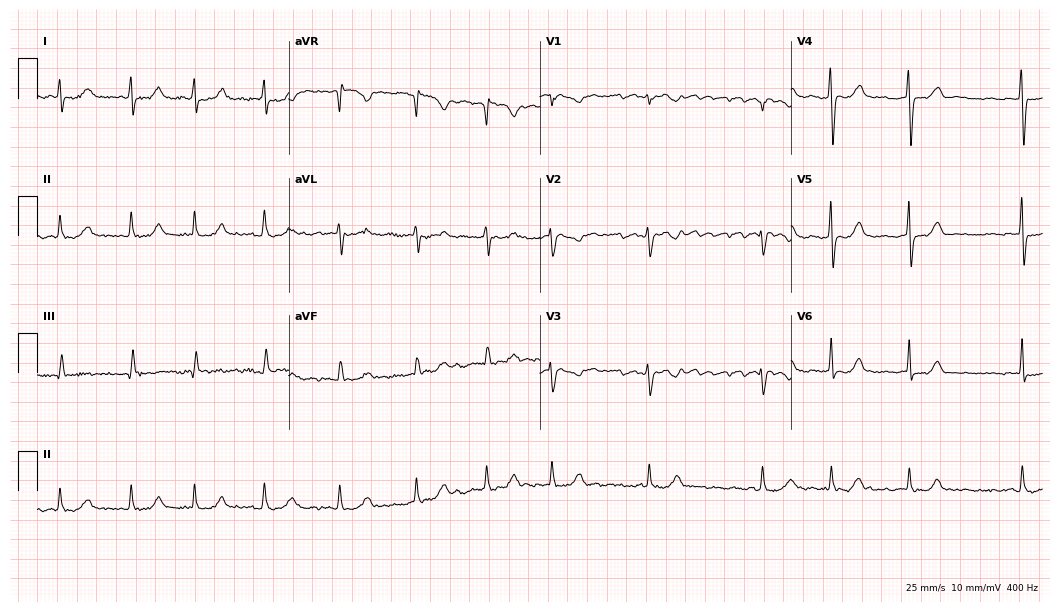
Resting 12-lead electrocardiogram (10.2-second recording at 400 Hz). Patient: a female, 45 years old. None of these six findings is recorded: first-degree AV block, right bundle branch block, left bundle branch block, sinus bradycardia, atrial fibrillation, sinus tachycardia.